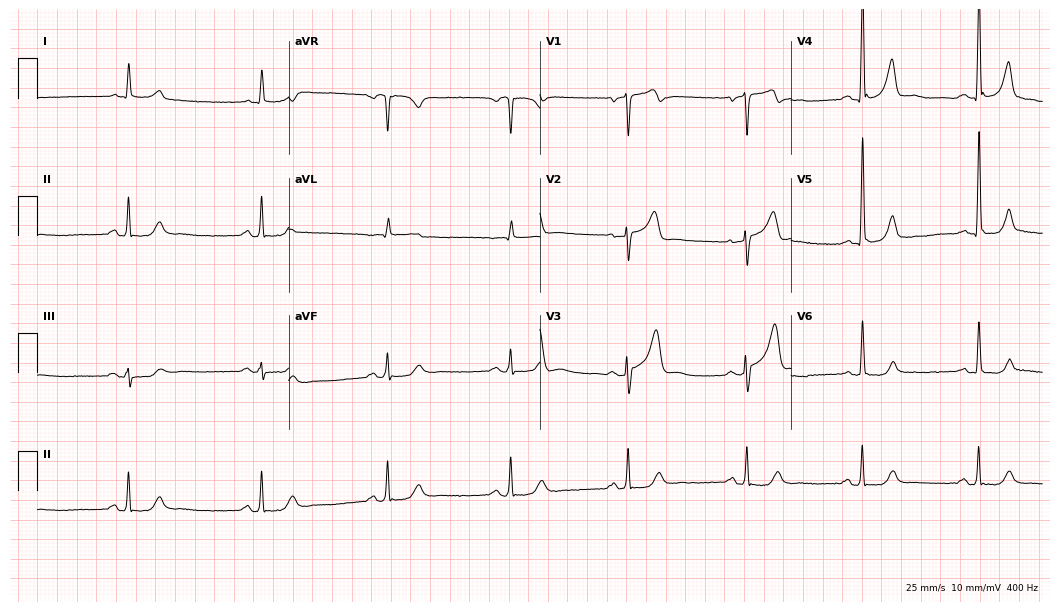
Standard 12-lead ECG recorded from a 73-year-old male (10.2-second recording at 400 Hz). The tracing shows sinus bradycardia (a sinus rate of 50 beats per minute or less).